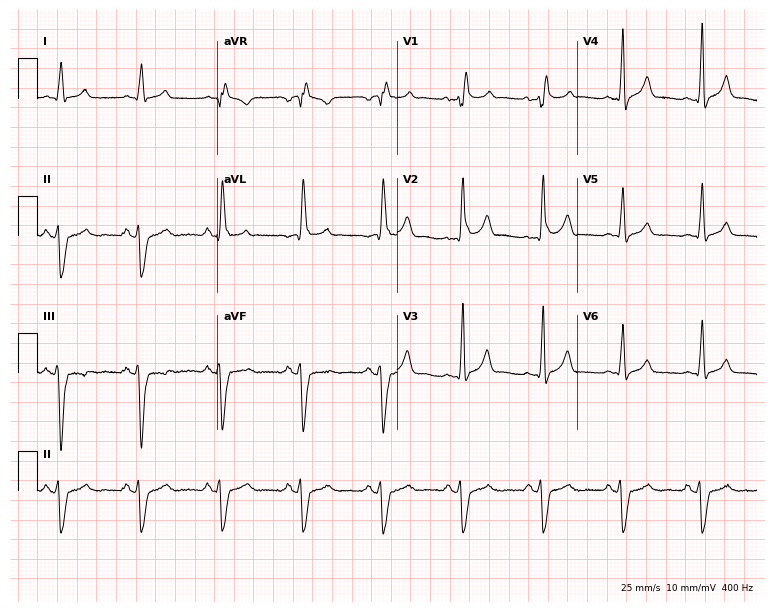
Electrocardiogram (7.3-second recording at 400 Hz), a 53-year-old male patient. Interpretation includes right bundle branch block.